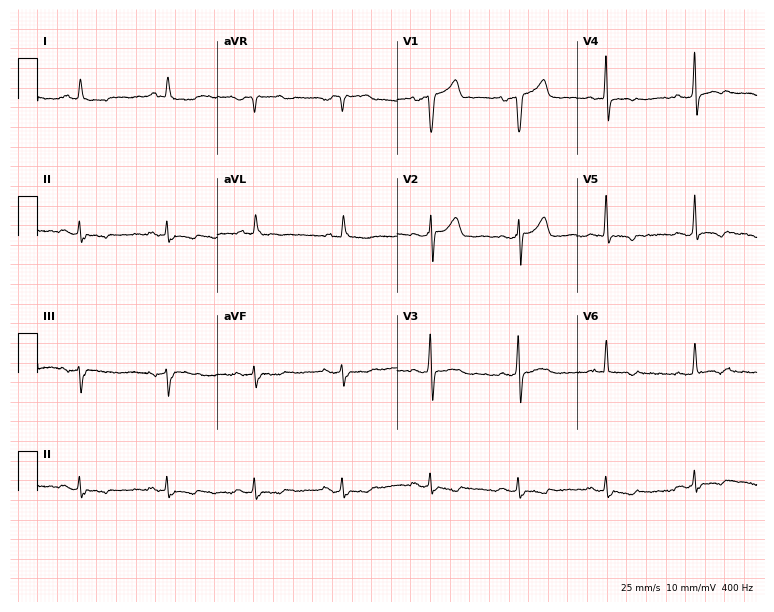
Electrocardiogram (7.3-second recording at 400 Hz), an 80-year-old male patient. Of the six screened findings (first-degree AV block, right bundle branch block (RBBB), left bundle branch block (LBBB), sinus bradycardia, atrial fibrillation (AF), sinus tachycardia), none is recorded.